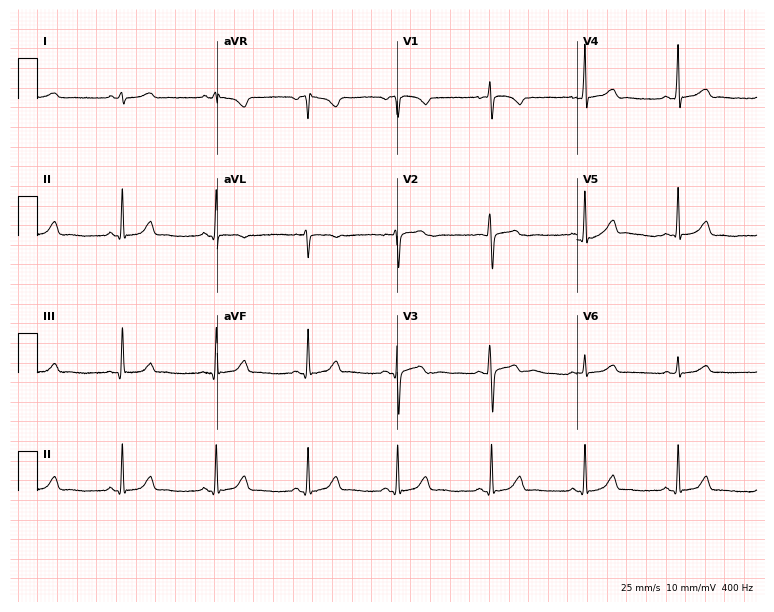
Resting 12-lead electrocardiogram. Patient: a 17-year-old woman. Read as a normal ECG.